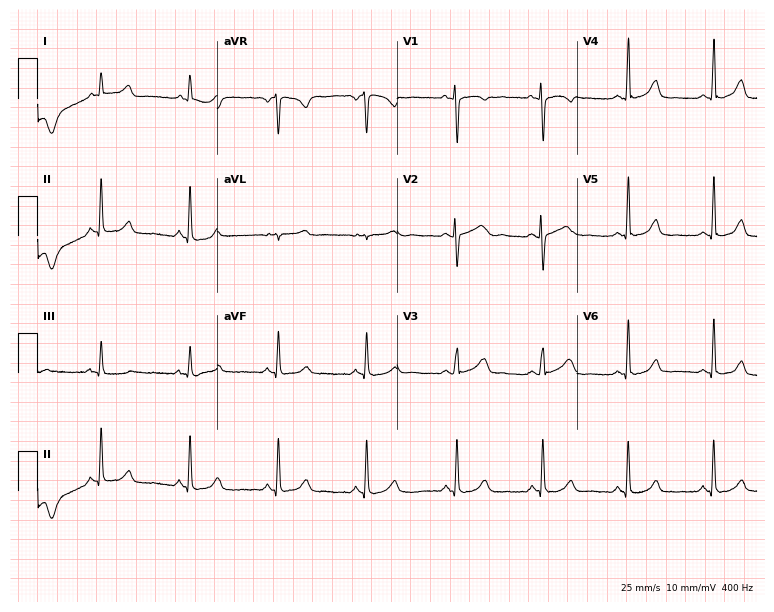
ECG — a woman, 28 years old. Labelled as a normal ECG.